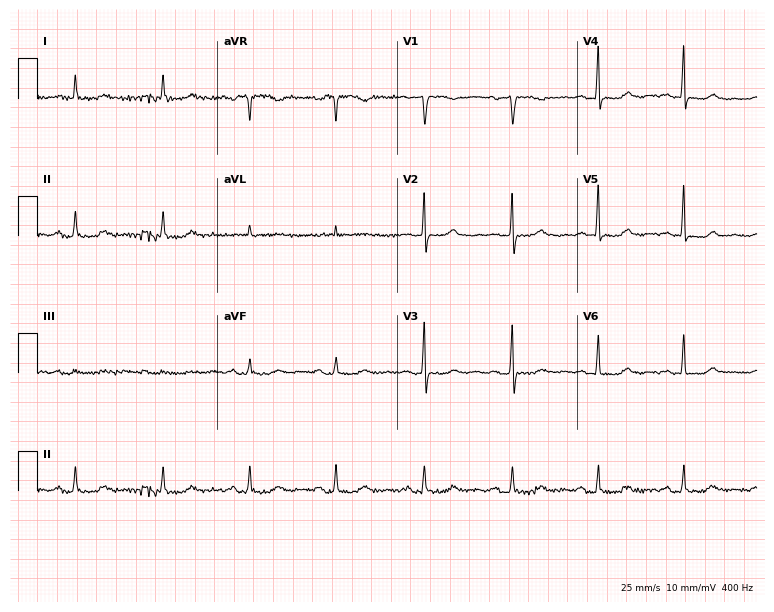
12-lead ECG (7.3-second recording at 400 Hz) from a female patient, 72 years old. Screened for six findings — first-degree AV block, right bundle branch block, left bundle branch block, sinus bradycardia, atrial fibrillation, sinus tachycardia — none is recorded. Only these six findings were labelled.